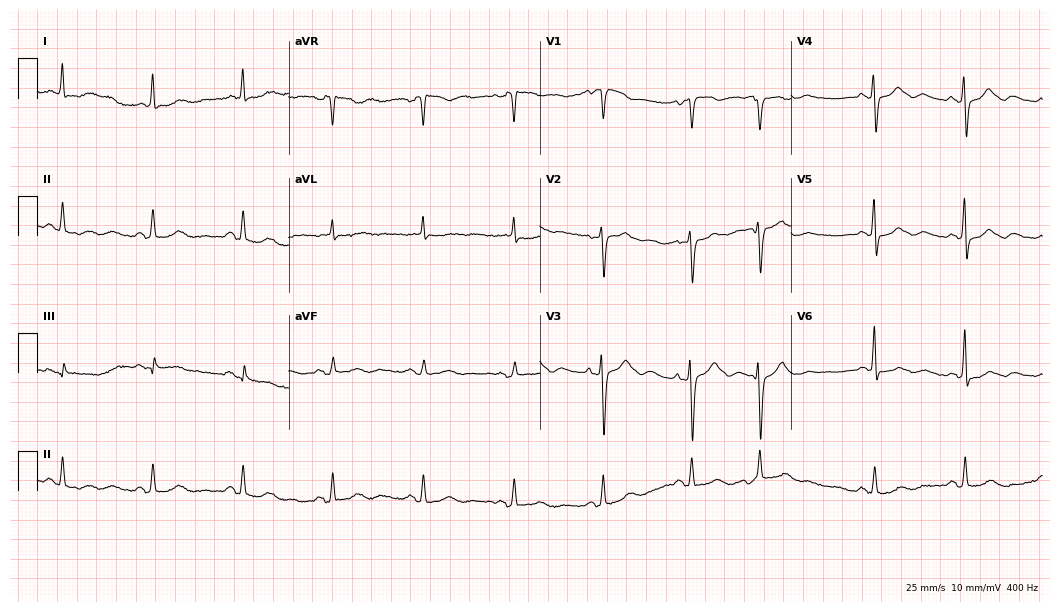
ECG (10.2-second recording at 400 Hz) — a 69-year-old woman. Screened for six findings — first-degree AV block, right bundle branch block, left bundle branch block, sinus bradycardia, atrial fibrillation, sinus tachycardia — none is recorded. Findings outside these six are not listed.